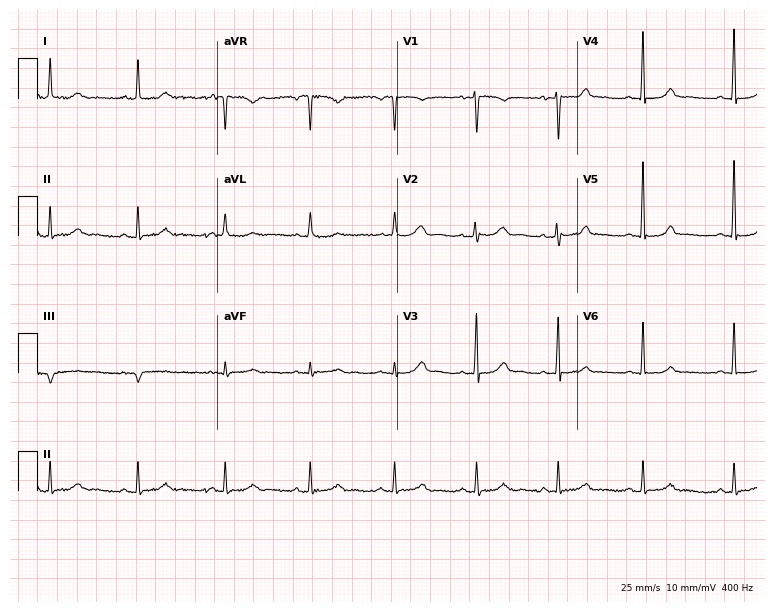
Standard 12-lead ECG recorded from a female, 37 years old. Read as a normal ECG.